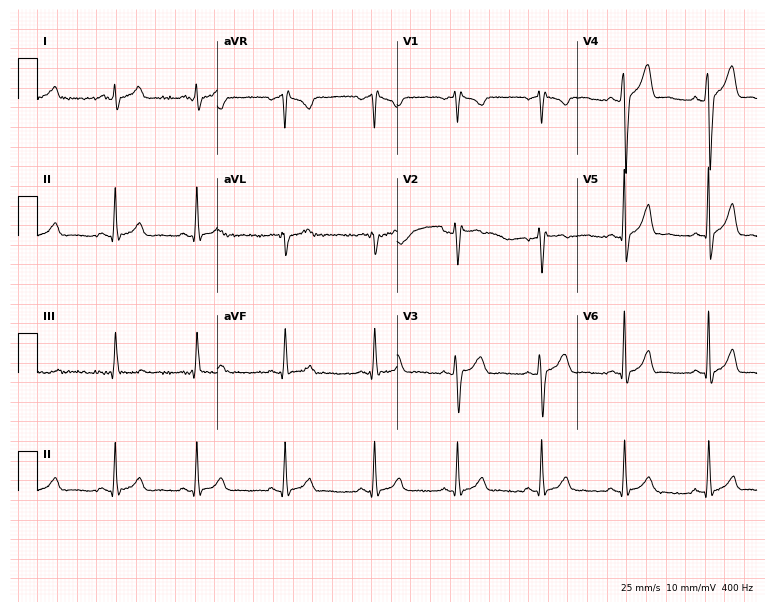
Resting 12-lead electrocardiogram (7.3-second recording at 400 Hz). Patient: a 39-year-old man. Read as a normal ECG.